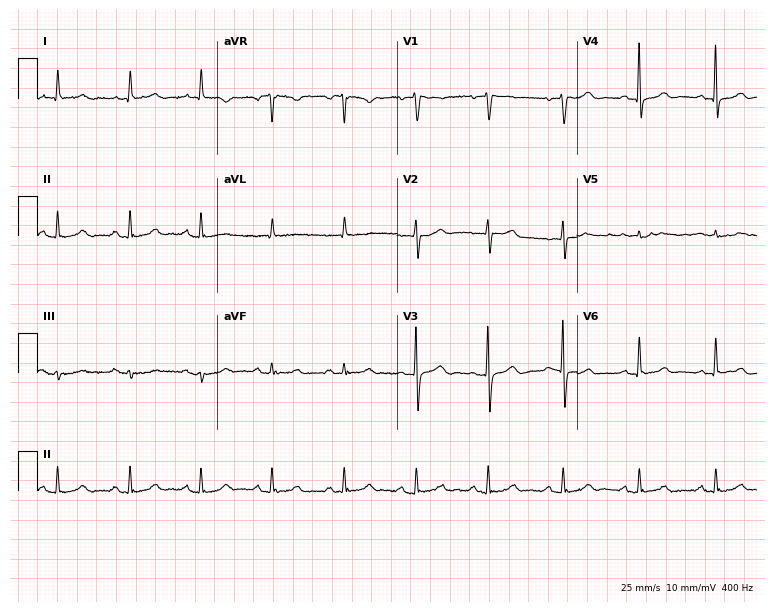
Standard 12-lead ECG recorded from an 80-year-old man. Read as a normal ECG.